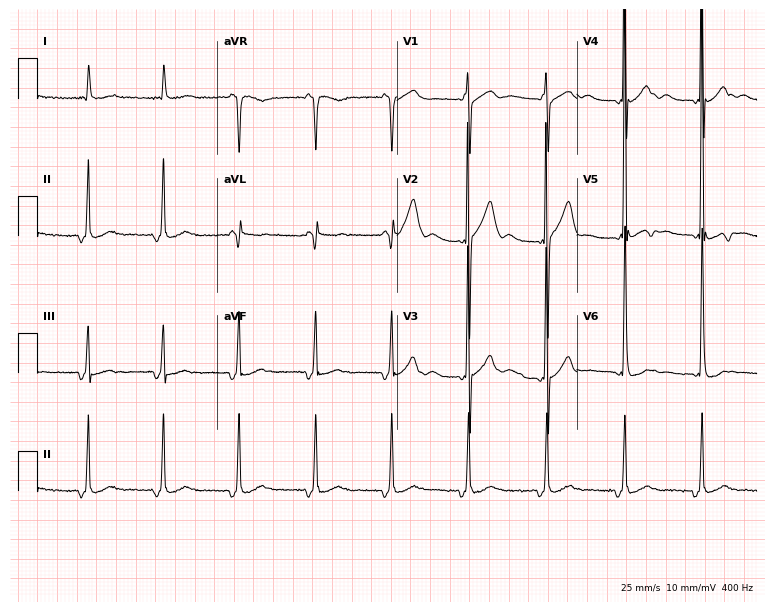
Resting 12-lead electrocardiogram (7.3-second recording at 400 Hz). Patient: an 83-year-old female. None of these six findings is recorded: first-degree AV block, right bundle branch block (RBBB), left bundle branch block (LBBB), sinus bradycardia, atrial fibrillation (AF), sinus tachycardia. Only these six findings were labelled.